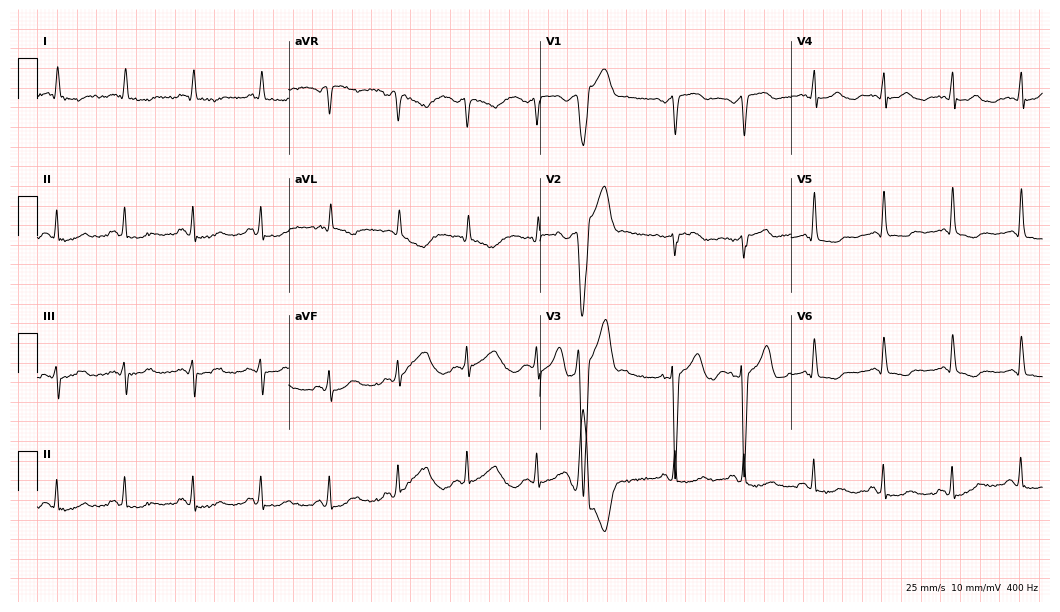
12-lead ECG from a 78-year-old male patient. No first-degree AV block, right bundle branch block (RBBB), left bundle branch block (LBBB), sinus bradycardia, atrial fibrillation (AF) or sinus tachycardia recorded for this tracing.